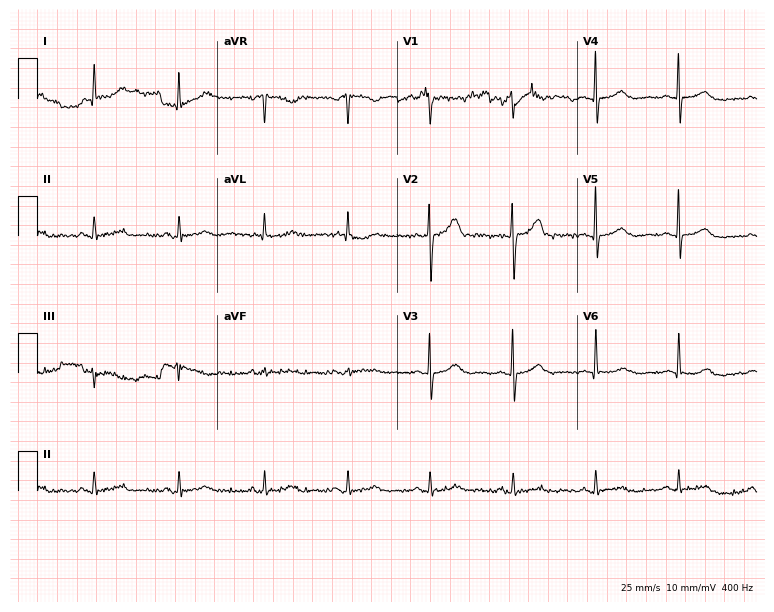
Standard 12-lead ECG recorded from a male, 54 years old. None of these six findings is recorded: first-degree AV block, right bundle branch block, left bundle branch block, sinus bradycardia, atrial fibrillation, sinus tachycardia. Other findings, if any, are not listed.